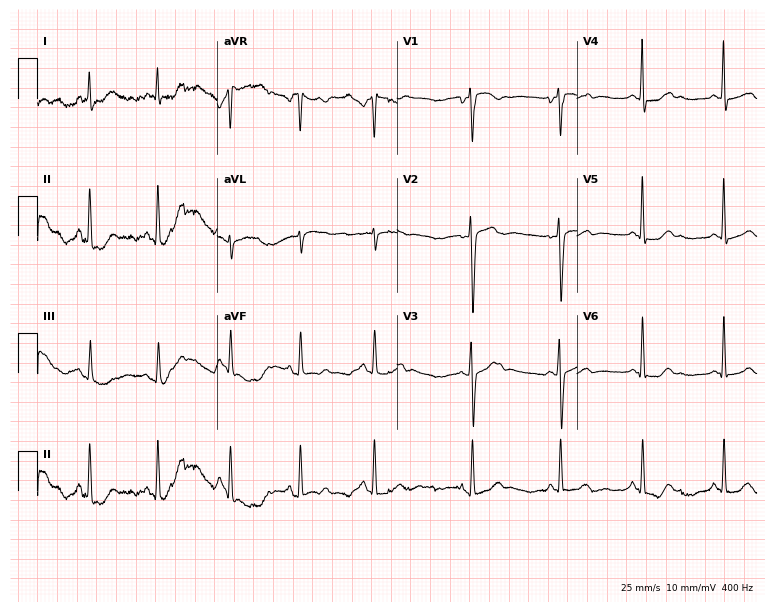
Resting 12-lead electrocardiogram. Patient: a 20-year-old man. None of these six findings is recorded: first-degree AV block, right bundle branch block, left bundle branch block, sinus bradycardia, atrial fibrillation, sinus tachycardia. Other findings, if any, are not listed.